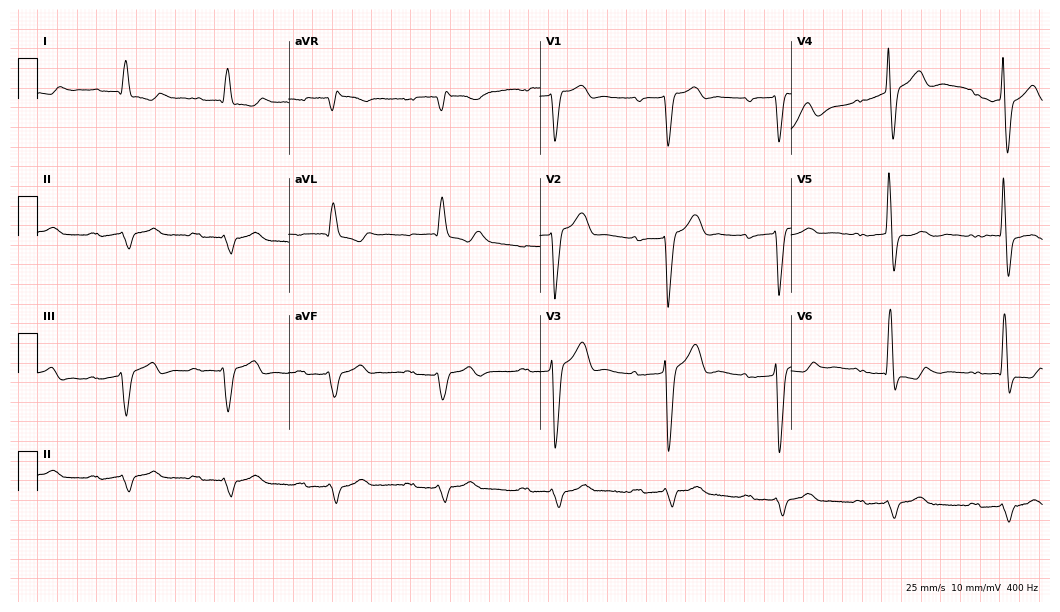
Resting 12-lead electrocardiogram. Patient: a male, 85 years old. The tracing shows first-degree AV block, left bundle branch block.